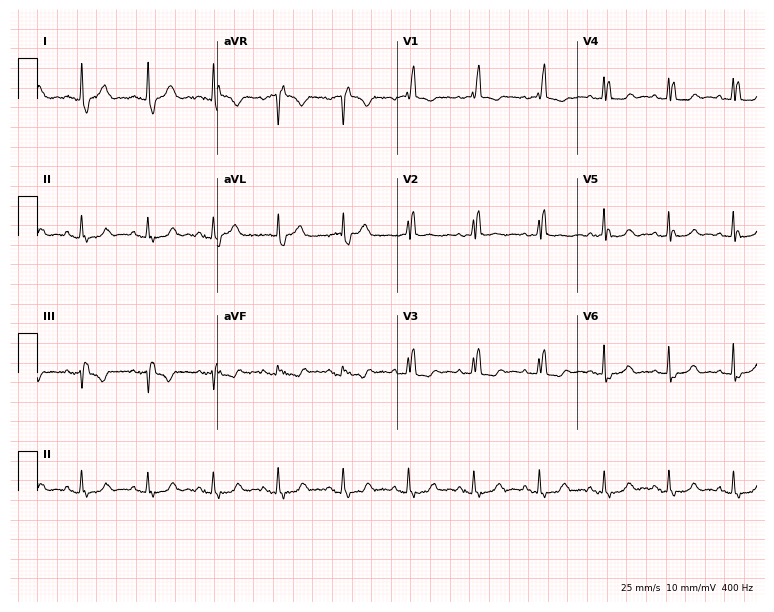
Electrocardiogram (7.3-second recording at 400 Hz), a female patient, 86 years old. Of the six screened findings (first-degree AV block, right bundle branch block (RBBB), left bundle branch block (LBBB), sinus bradycardia, atrial fibrillation (AF), sinus tachycardia), none is recorded. Other findings, if any, are not listed.